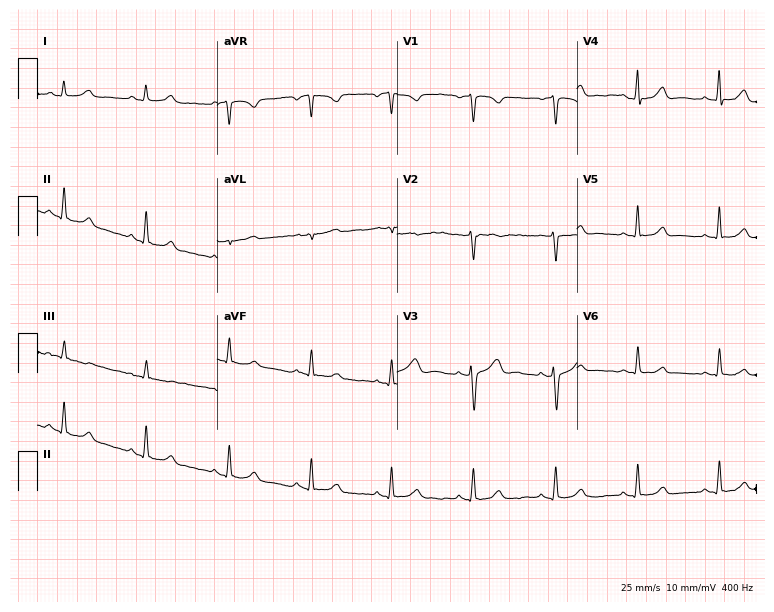
Resting 12-lead electrocardiogram (7.3-second recording at 400 Hz). Patient: a woman, 32 years old. None of these six findings is recorded: first-degree AV block, right bundle branch block (RBBB), left bundle branch block (LBBB), sinus bradycardia, atrial fibrillation (AF), sinus tachycardia.